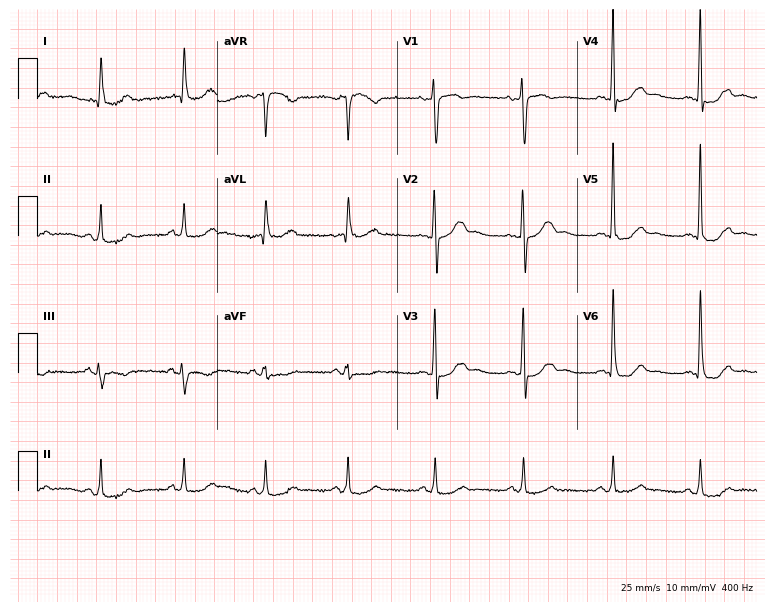
Standard 12-lead ECG recorded from a woman, 65 years old. None of these six findings is recorded: first-degree AV block, right bundle branch block (RBBB), left bundle branch block (LBBB), sinus bradycardia, atrial fibrillation (AF), sinus tachycardia.